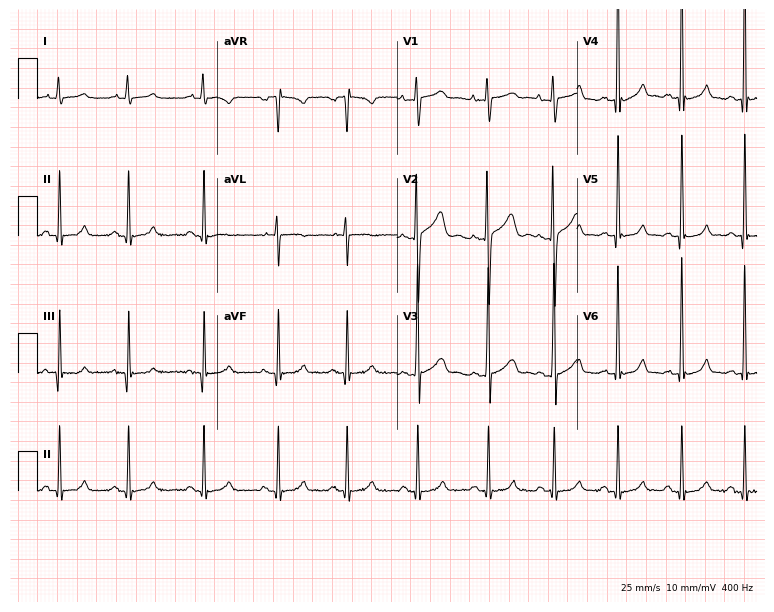
Standard 12-lead ECG recorded from an 18-year-old male (7.3-second recording at 400 Hz). None of these six findings is recorded: first-degree AV block, right bundle branch block, left bundle branch block, sinus bradycardia, atrial fibrillation, sinus tachycardia. Only these six findings were labelled.